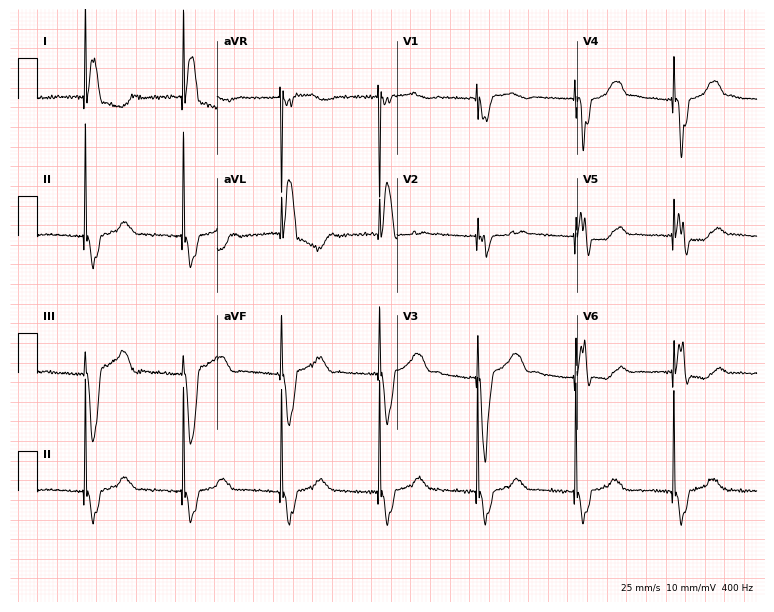
Electrocardiogram (7.3-second recording at 400 Hz), a female, 74 years old. Of the six screened findings (first-degree AV block, right bundle branch block, left bundle branch block, sinus bradycardia, atrial fibrillation, sinus tachycardia), none is recorded. Findings outside these six are not listed.